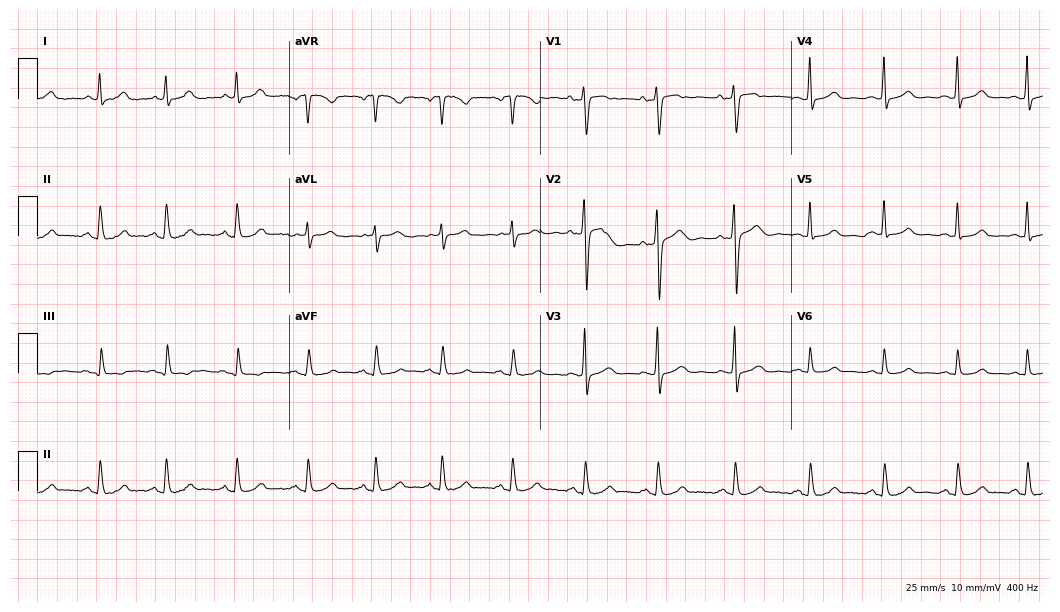
Electrocardiogram, a female patient, 43 years old. Of the six screened findings (first-degree AV block, right bundle branch block, left bundle branch block, sinus bradycardia, atrial fibrillation, sinus tachycardia), none is recorded. Other findings, if any, are not listed.